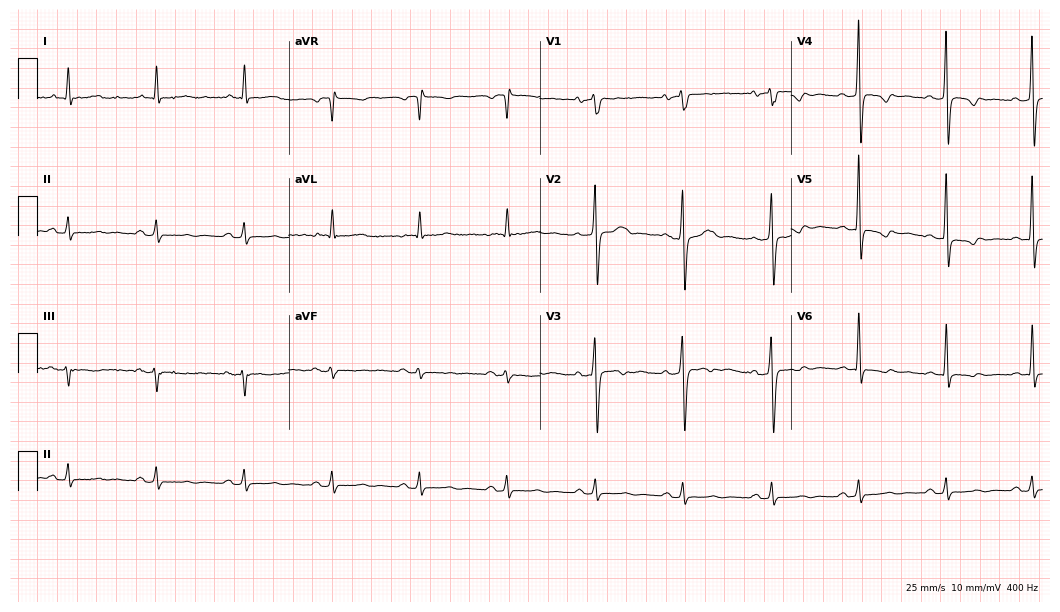
12-lead ECG from a man, 47 years old. Screened for six findings — first-degree AV block, right bundle branch block, left bundle branch block, sinus bradycardia, atrial fibrillation, sinus tachycardia — none is recorded. Findings outside these six are not listed.